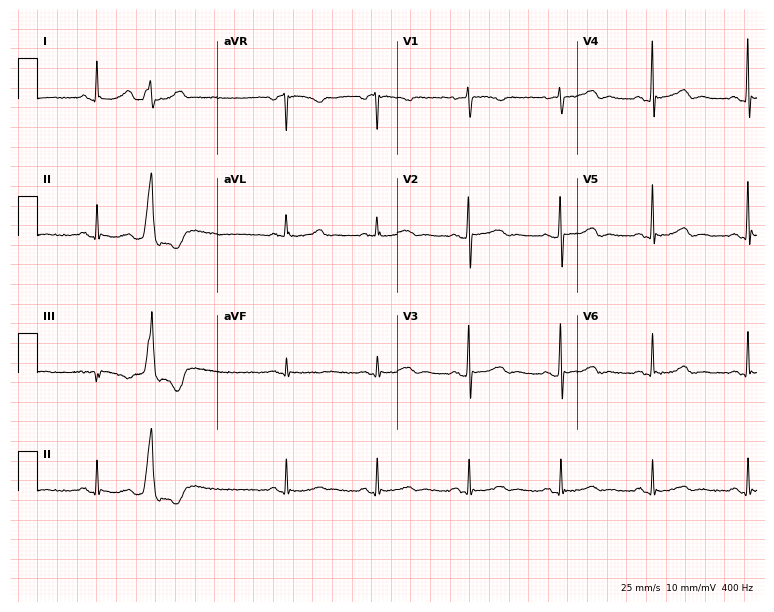
12-lead ECG from a woman, 63 years old (7.3-second recording at 400 Hz). No first-degree AV block, right bundle branch block (RBBB), left bundle branch block (LBBB), sinus bradycardia, atrial fibrillation (AF) or sinus tachycardia recorded for this tracing. Only these six findings were labelled.